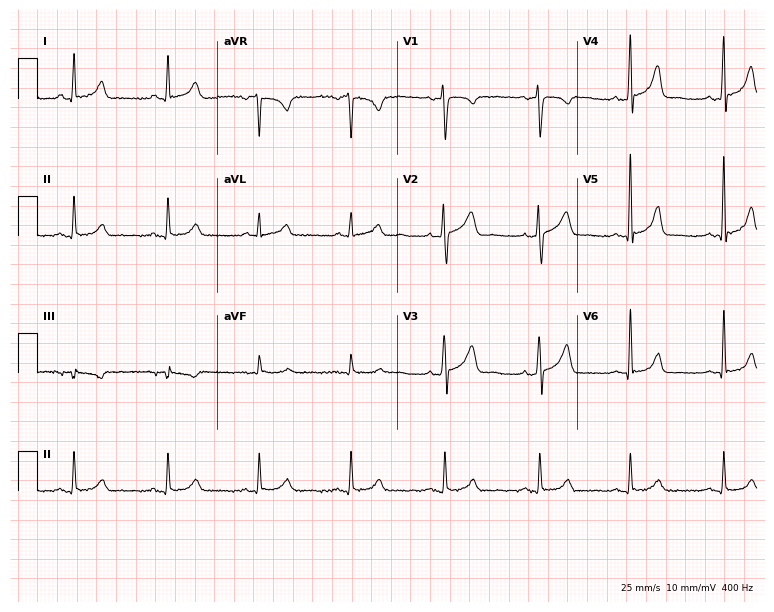
ECG — a female, 41 years old. Screened for six findings — first-degree AV block, right bundle branch block (RBBB), left bundle branch block (LBBB), sinus bradycardia, atrial fibrillation (AF), sinus tachycardia — none is recorded. Other findings, if any, are not listed.